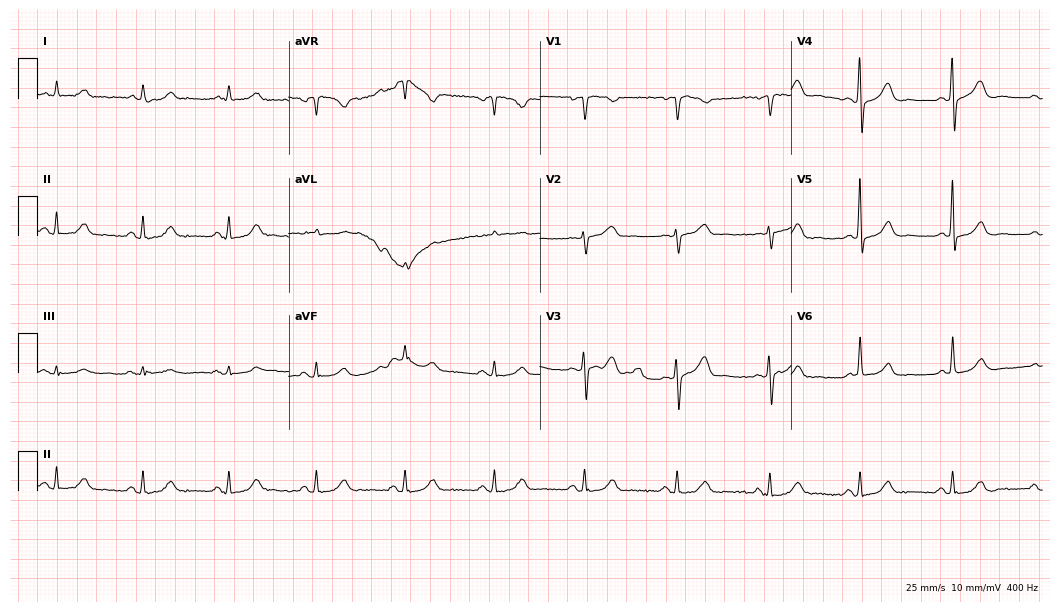
ECG — a 74-year-old woman. Labelled as a normal ECG.